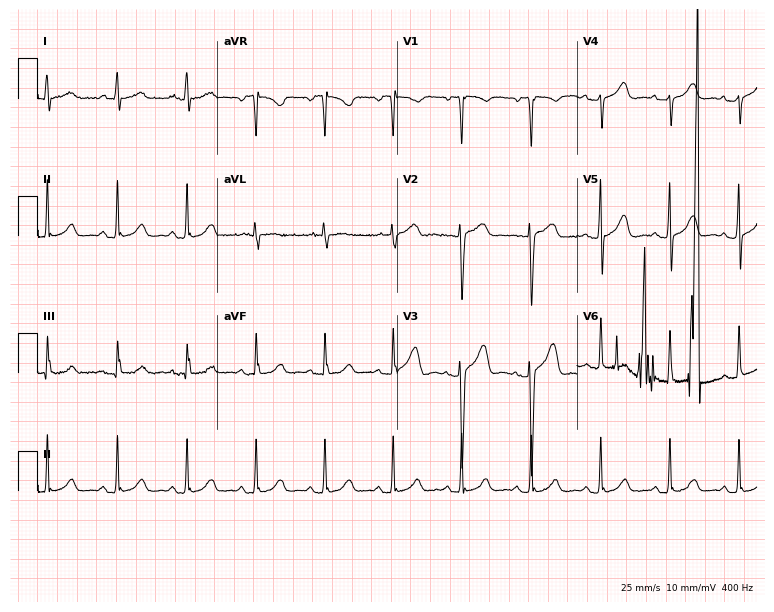
Standard 12-lead ECG recorded from a 33-year-old man. Read as a normal ECG.